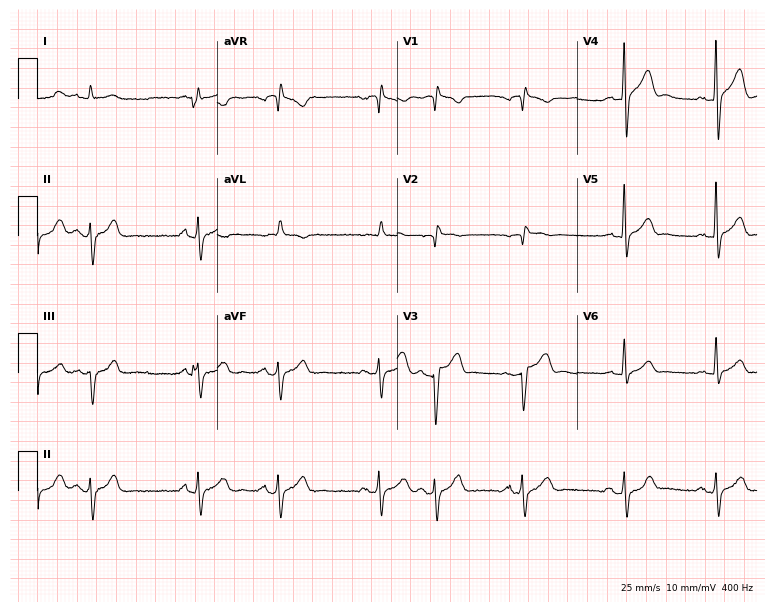
Electrocardiogram, a 78-year-old man. Of the six screened findings (first-degree AV block, right bundle branch block (RBBB), left bundle branch block (LBBB), sinus bradycardia, atrial fibrillation (AF), sinus tachycardia), none is recorded. Only these six findings were labelled.